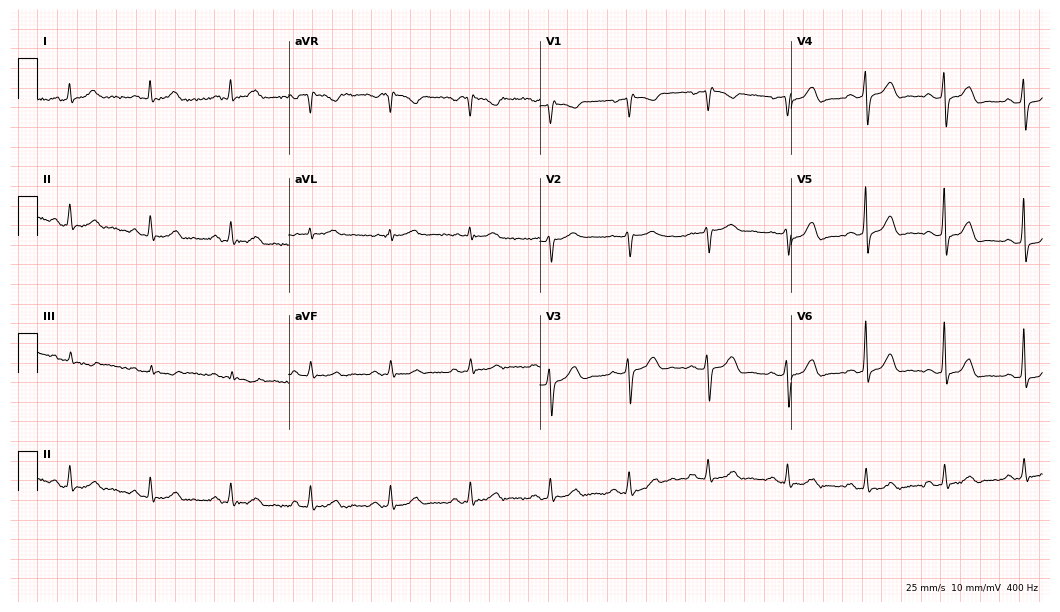
ECG (10.2-second recording at 400 Hz) — a 79-year-old male patient. Screened for six findings — first-degree AV block, right bundle branch block, left bundle branch block, sinus bradycardia, atrial fibrillation, sinus tachycardia — none is recorded. Only these six findings were labelled.